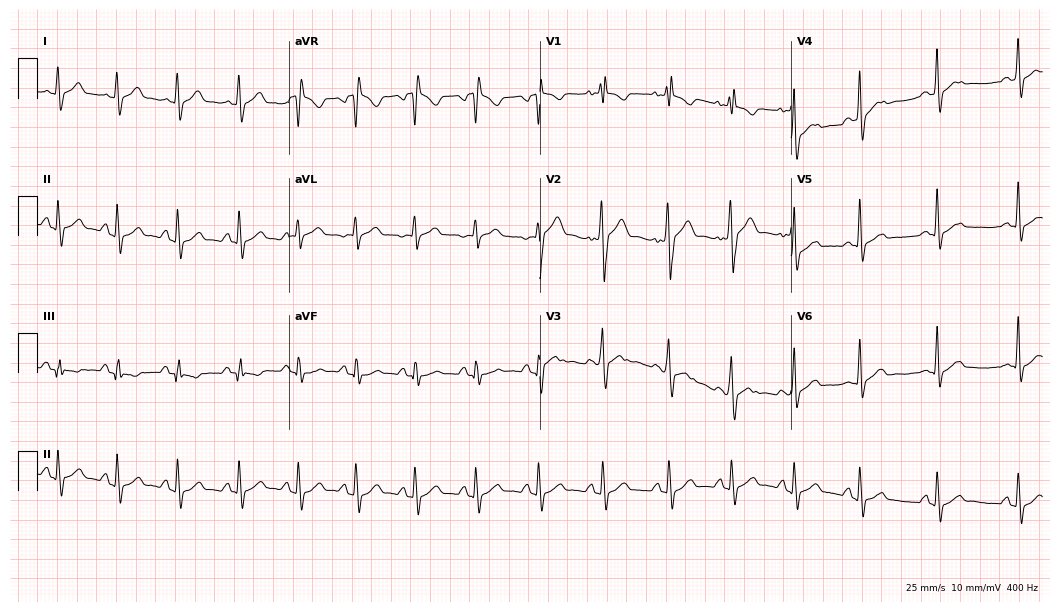
ECG (10.2-second recording at 400 Hz) — a 17-year-old man. Screened for six findings — first-degree AV block, right bundle branch block (RBBB), left bundle branch block (LBBB), sinus bradycardia, atrial fibrillation (AF), sinus tachycardia — none is recorded.